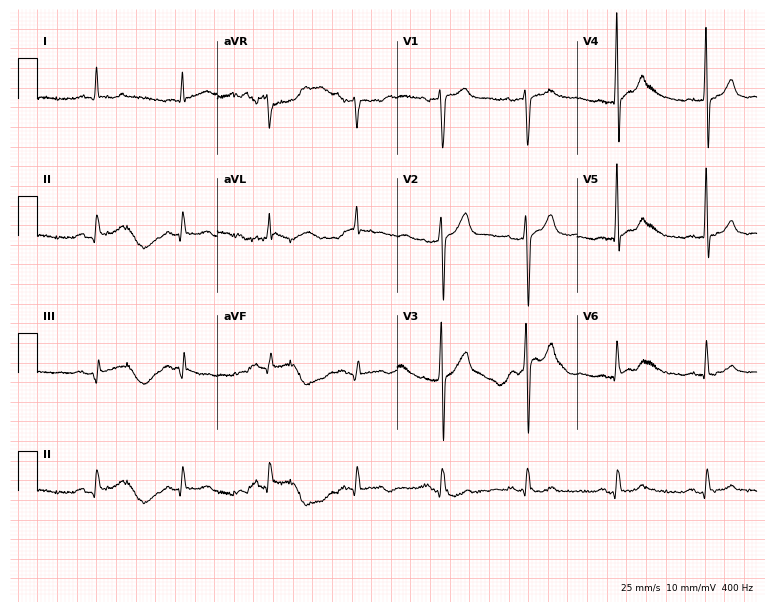
Electrocardiogram, a 65-year-old male patient. Overall reading on record: normal ECG.